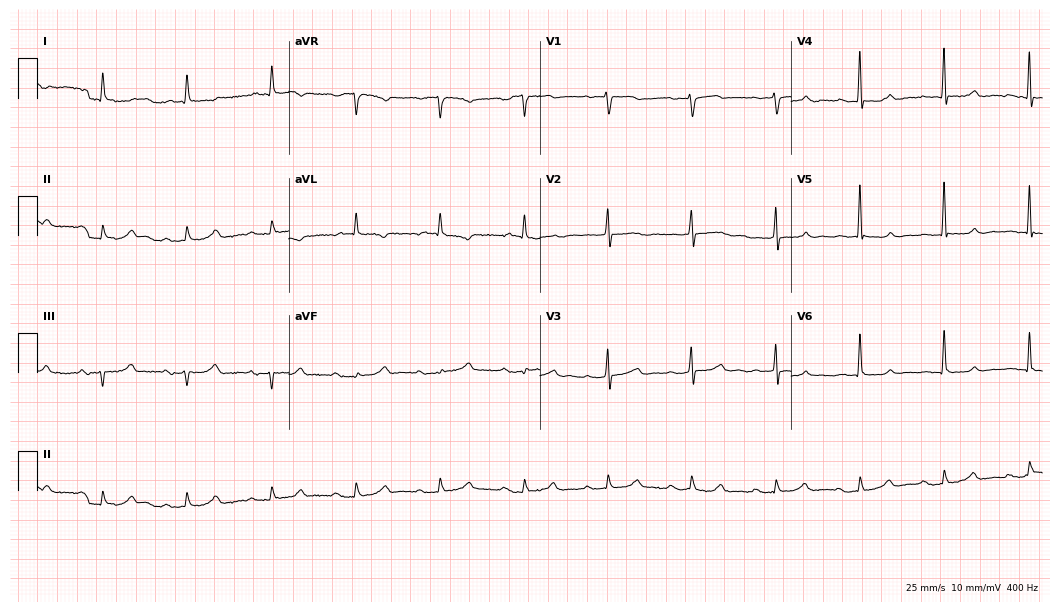
12-lead ECG from a woman, 84 years old. Findings include first-degree AV block.